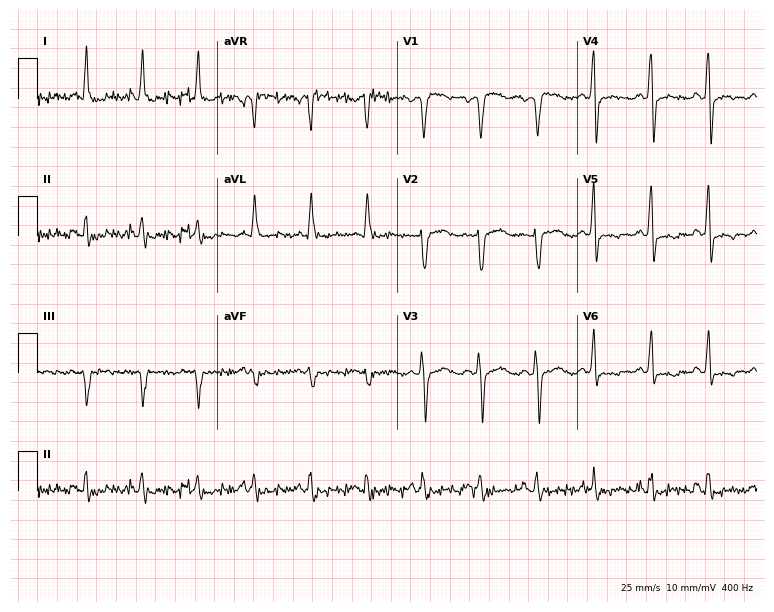
ECG (7.3-second recording at 400 Hz) — a 52-year-old male. Findings include sinus tachycardia (a sinus rate of 100 beats per minute or more).